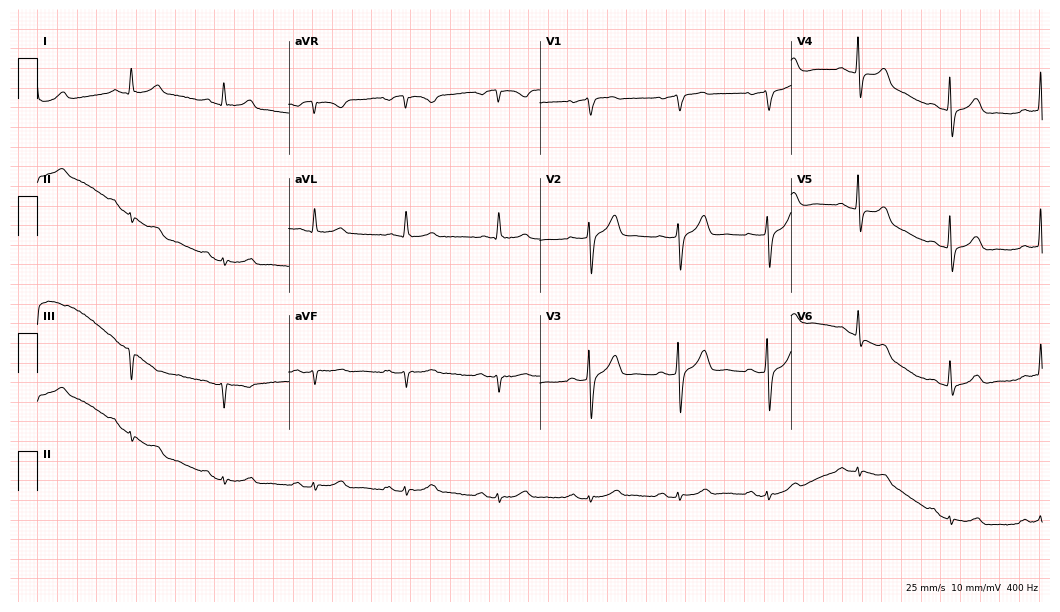
12-lead ECG from a man, 75 years old. Recorded interpretation: within normal limits.